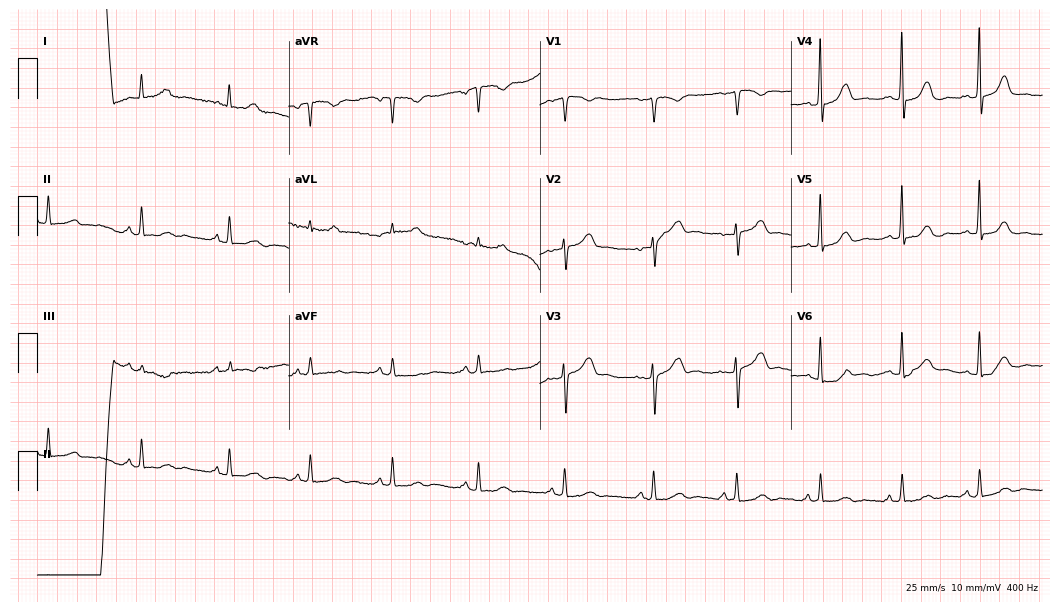
12-lead ECG from a female, 52 years old. Recorded interpretation: within normal limits.